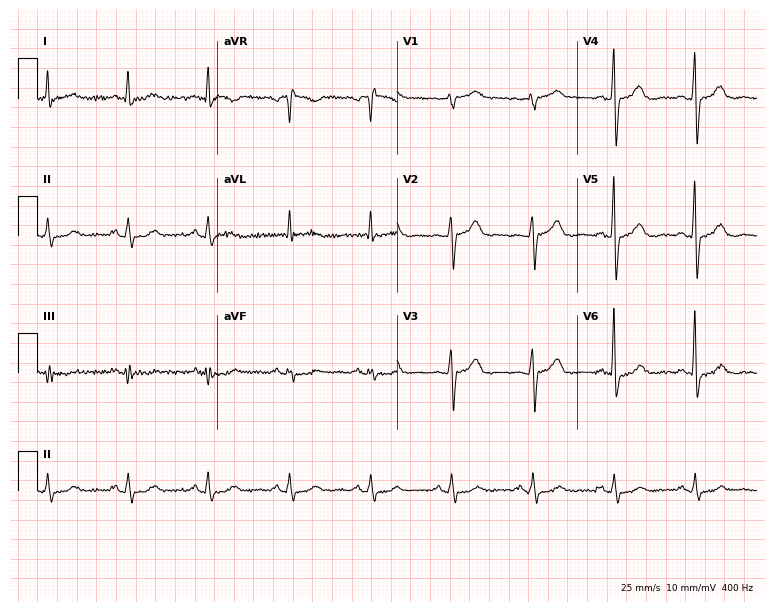
Resting 12-lead electrocardiogram. Patient: a man, 66 years old. Read as a normal ECG.